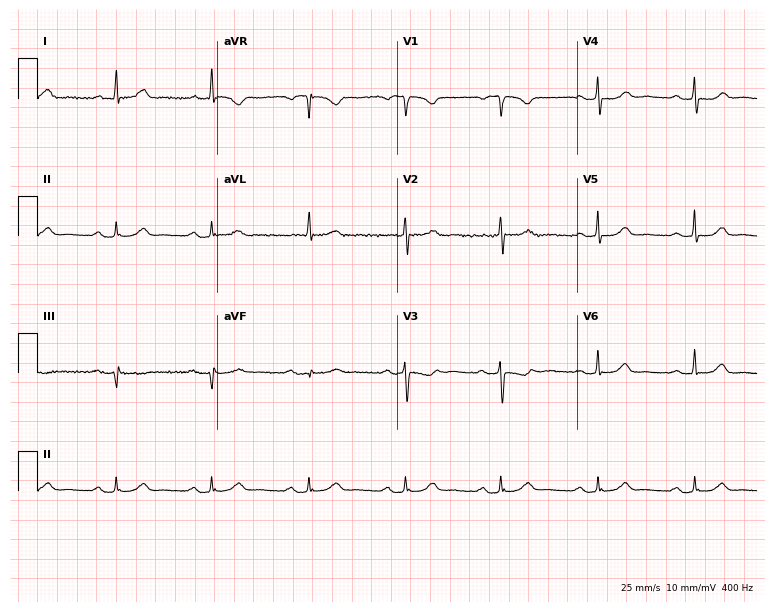
12-lead ECG from a female, 66 years old. Labelled as a normal ECG.